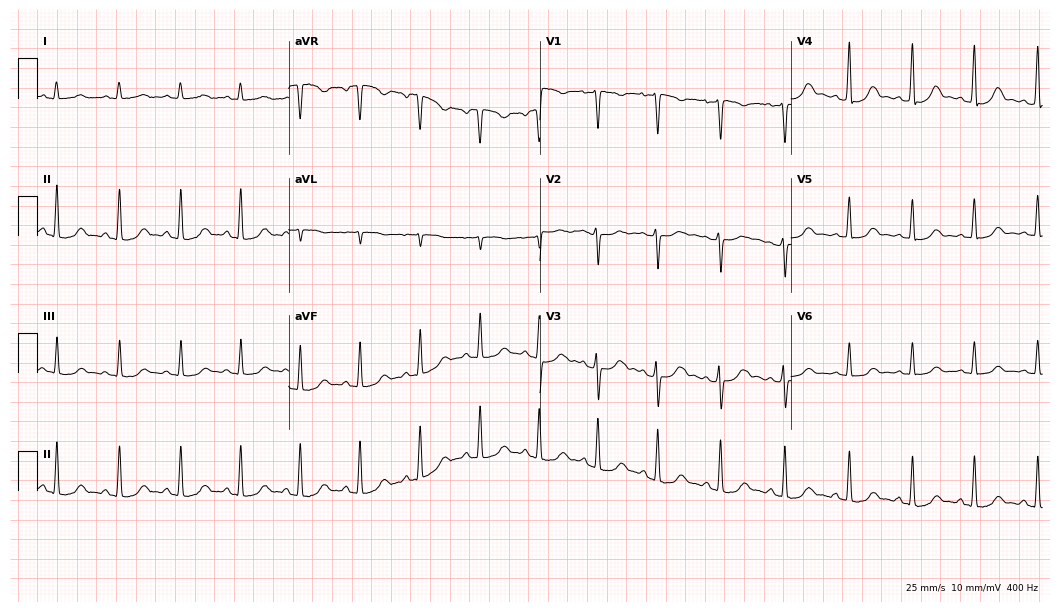
12-lead ECG from a female, 30 years old. Labelled as a normal ECG.